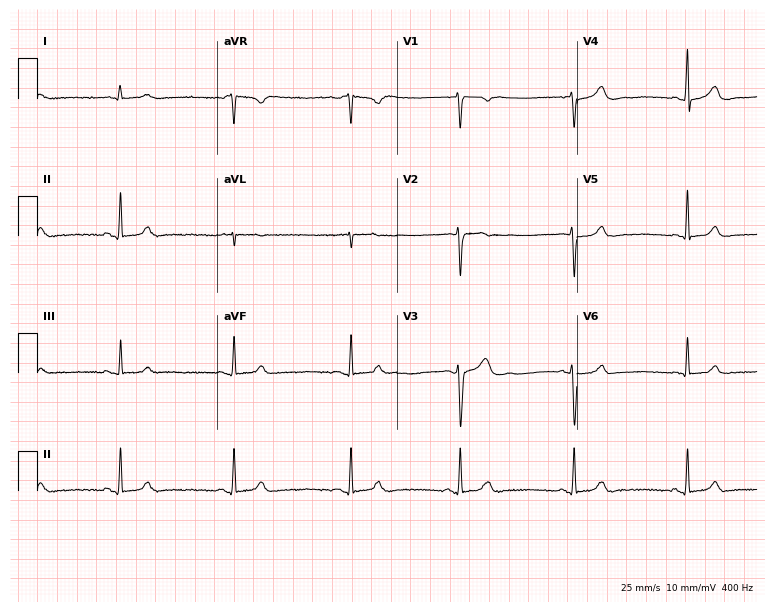
Standard 12-lead ECG recorded from a female, 21 years old. Read as a normal ECG.